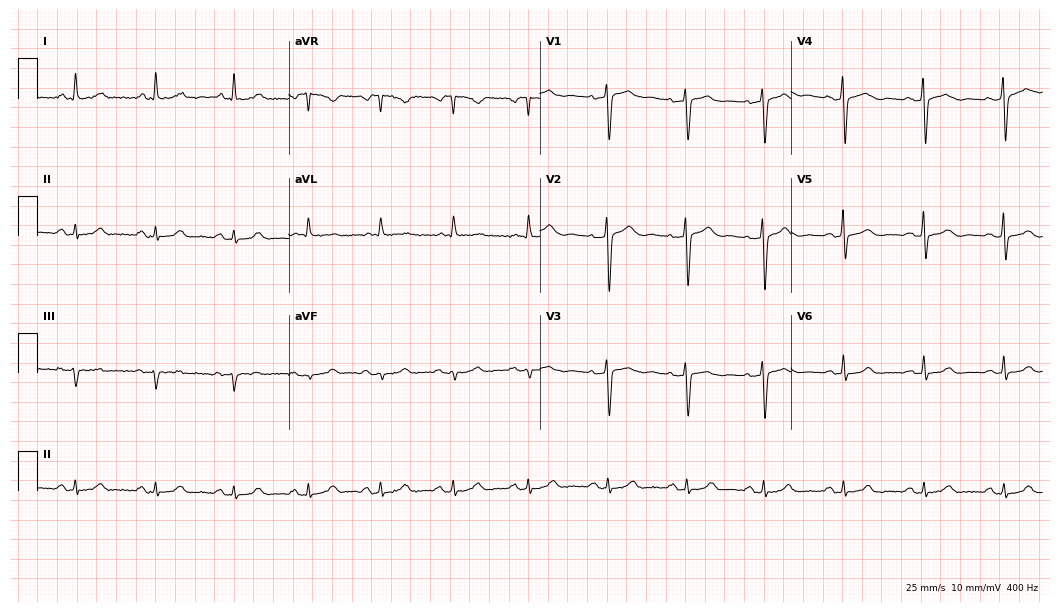
Resting 12-lead electrocardiogram. Patient: a female, 53 years old. Read as a normal ECG.